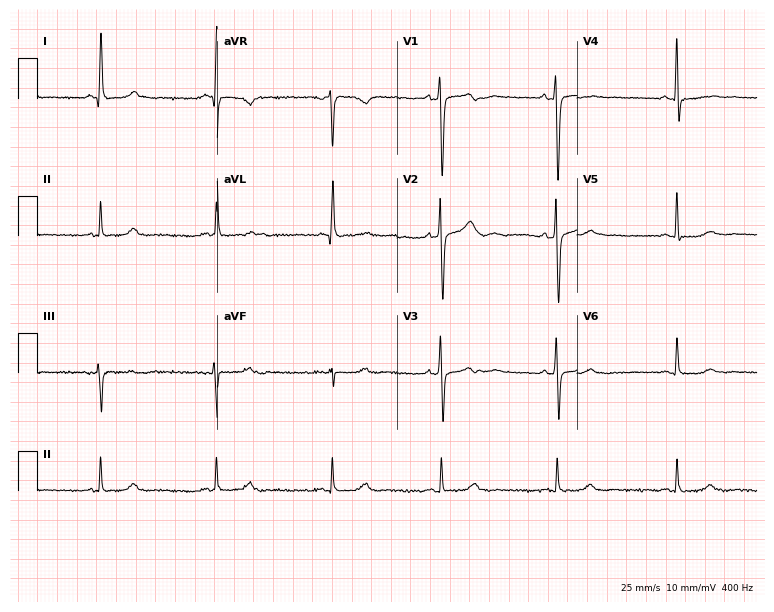
12-lead ECG from a female, 55 years old. Findings include sinus bradycardia (a sinus rate of 50 beats per minute or less).